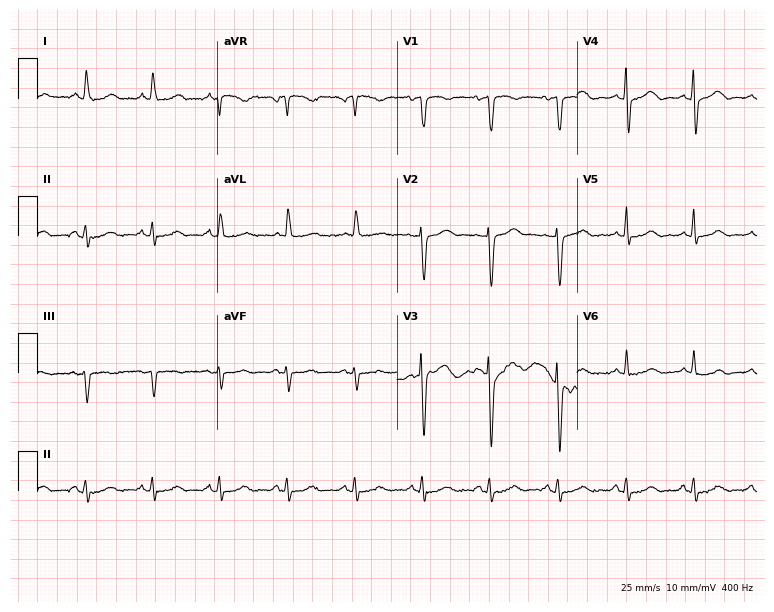
12-lead ECG from an 83-year-old woman. Recorded interpretation: within normal limits.